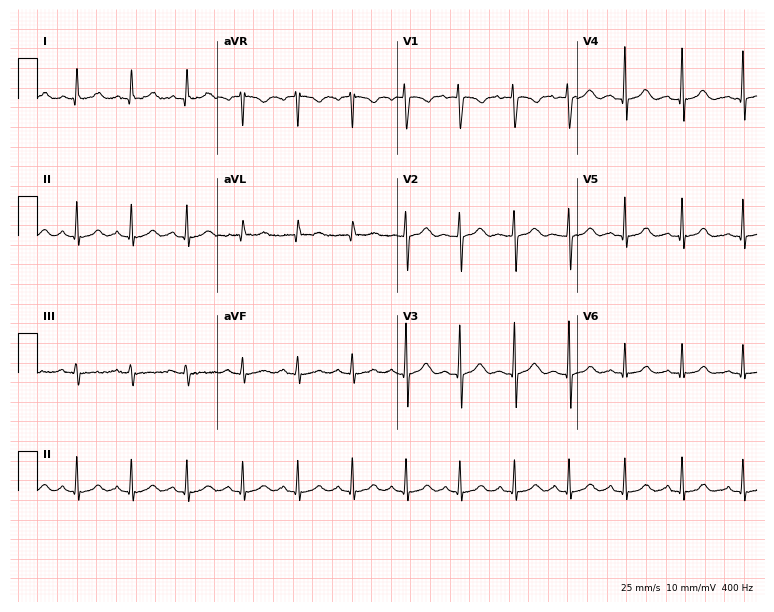
Resting 12-lead electrocardiogram. Patient: a 21-year-old female. The tracing shows sinus tachycardia (a sinus rate of 100 beats per minute or more).